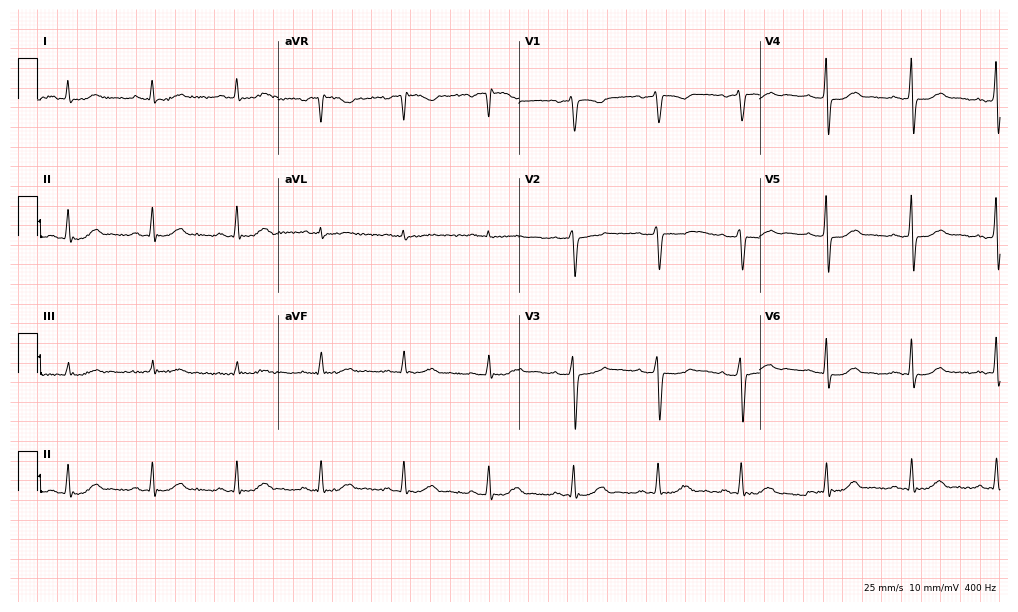
12-lead ECG from a 67-year-old man (9.8-second recording at 400 Hz). Recorded interpretation: within normal limits.